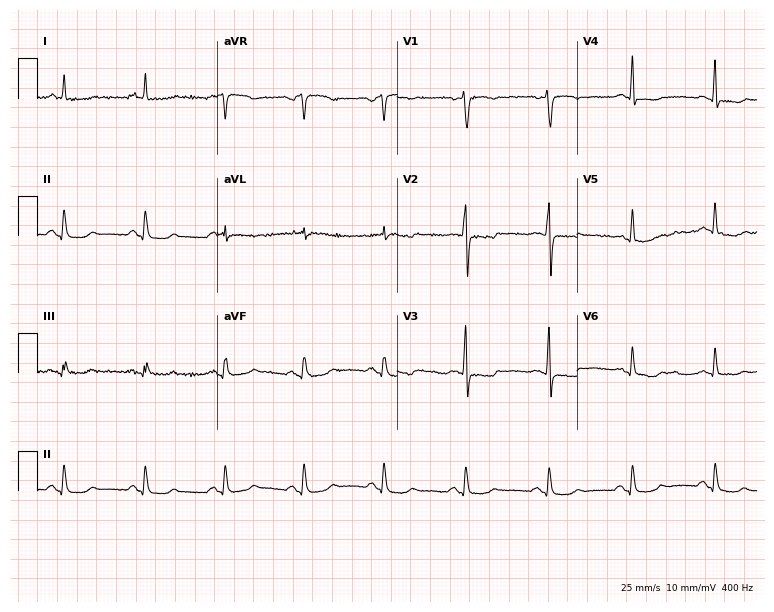
Standard 12-lead ECG recorded from a woman, 65 years old. None of these six findings is recorded: first-degree AV block, right bundle branch block (RBBB), left bundle branch block (LBBB), sinus bradycardia, atrial fibrillation (AF), sinus tachycardia. Findings outside these six are not listed.